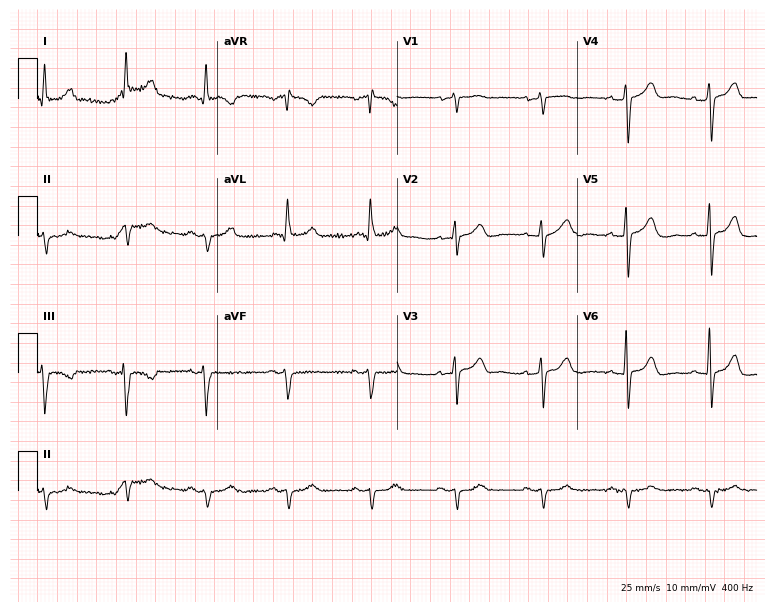
12-lead ECG (7.3-second recording at 400 Hz) from a female, 51 years old. Screened for six findings — first-degree AV block, right bundle branch block, left bundle branch block, sinus bradycardia, atrial fibrillation, sinus tachycardia — none is recorded.